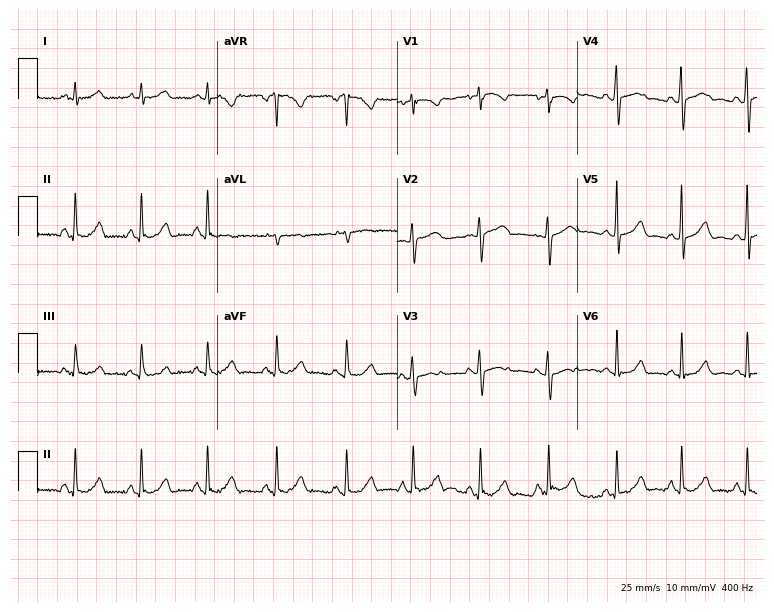
Resting 12-lead electrocardiogram. Patient: a female, 48 years old. Read as a normal ECG.